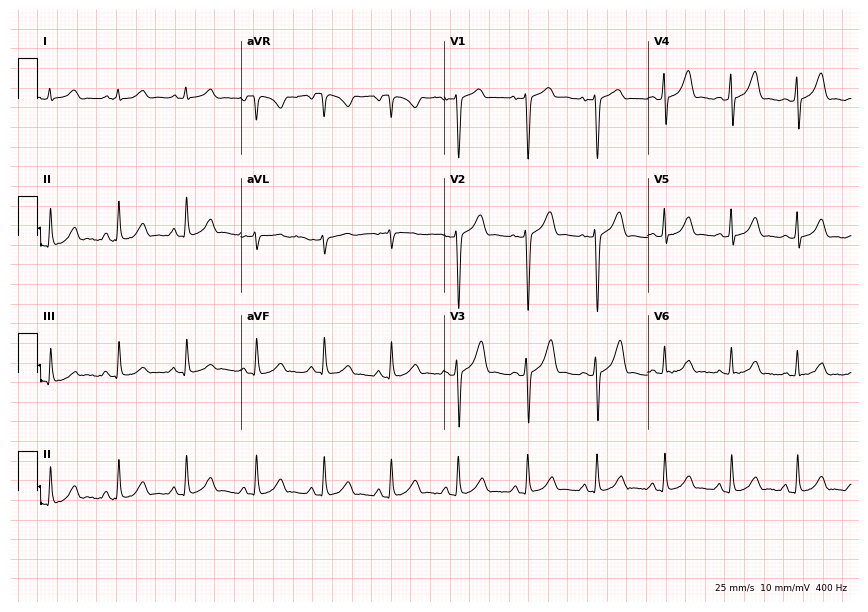
Standard 12-lead ECG recorded from a female patient, 35 years old. Read as a normal ECG.